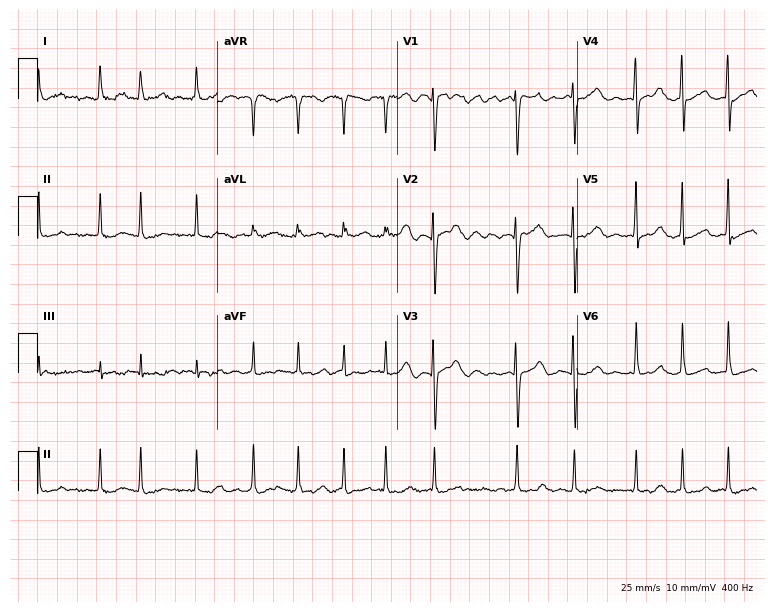
12-lead ECG (7.3-second recording at 400 Hz) from a 64-year-old female patient. Findings include atrial fibrillation (AF).